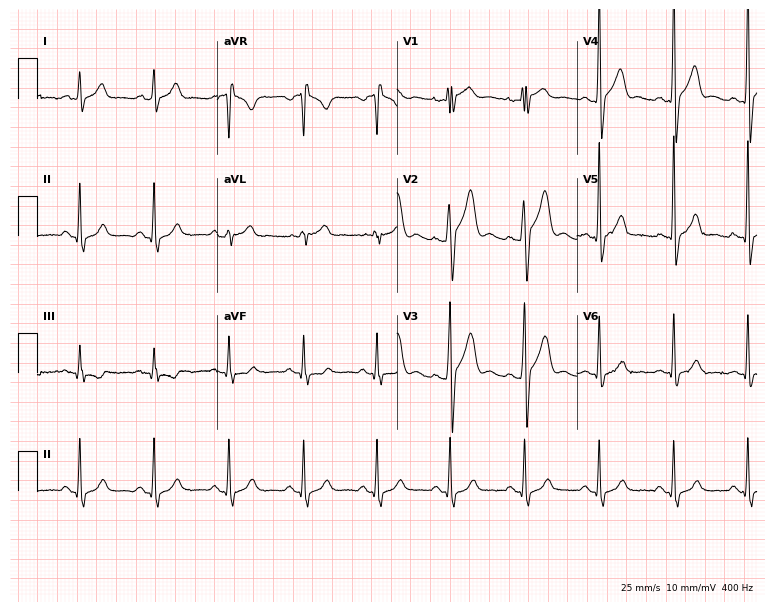
ECG (7.3-second recording at 400 Hz) — a man, 38 years old. Screened for six findings — first-degree AV block, right bundle branch block (RBBB), left bundle branch block (LBBB), sinus bradycardia, atrial fibrillation (AF), sinus tachycardia — none is recorded. Only these six findings were labelled.